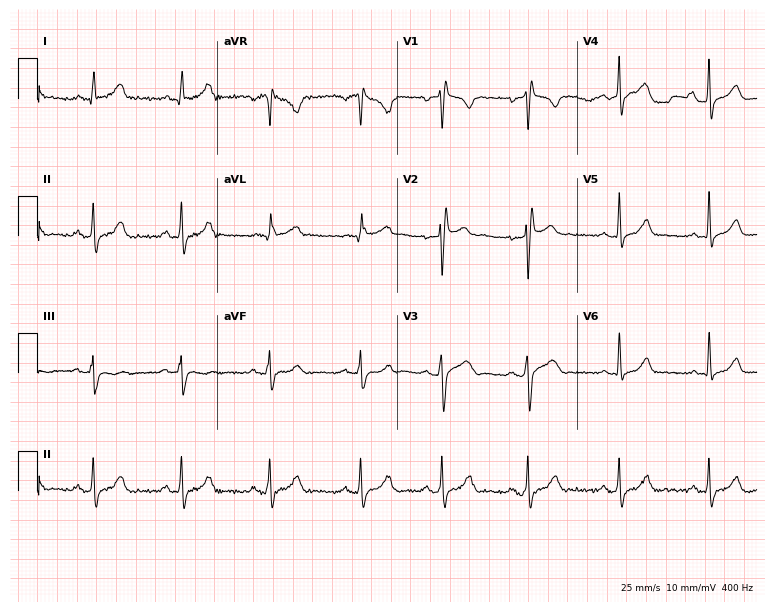
Standard 12-lead ECG recorded from a male, 20 years old (7.3-second recording at 400 Hz). None of these six findings is recorded: first-degree AV block, right bundle branch block (RBBB), left bundle branch block (LBBB), sinus bradycardia, atrial fibrillation (AF), sinus tachycardia. Findings outside these six are not listed.